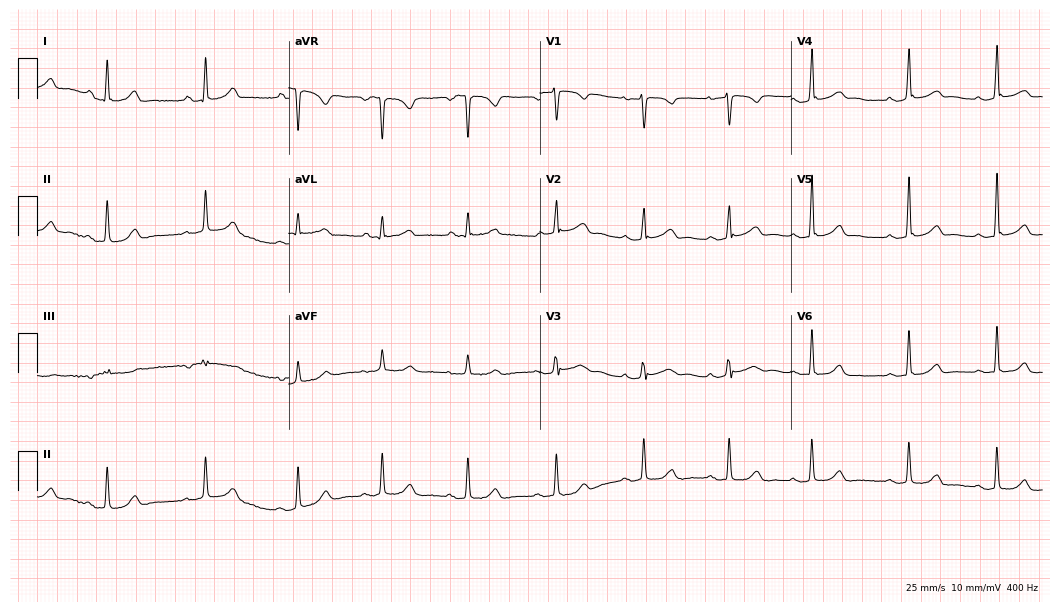
12-lead ECG from a 22-year-old female. Labelled as a normal ECG.